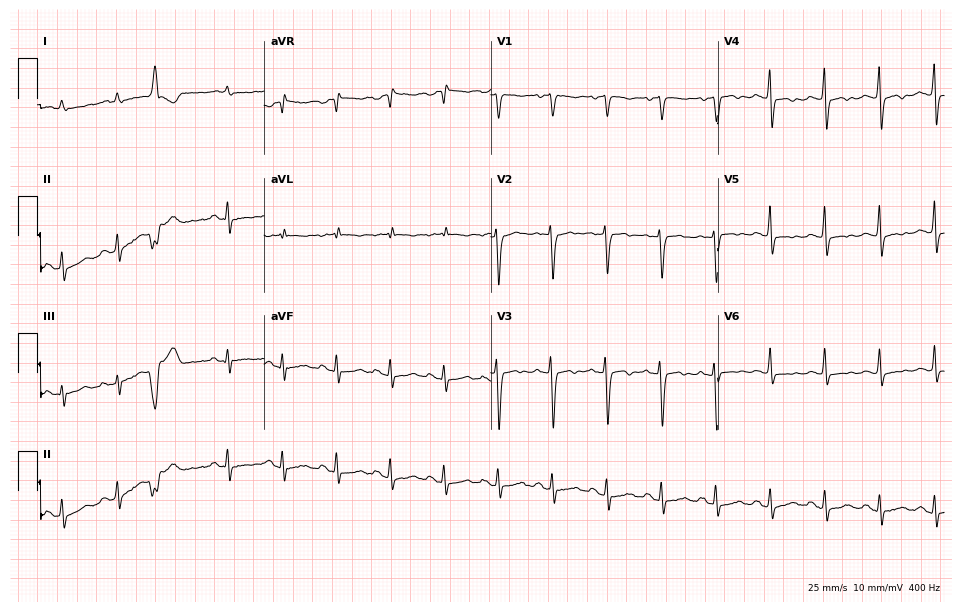
12-lead ECG (9.2-second recording at 400 Hz) from a 75-year-old female. Screened for six findings — first-degree AV block, right bundle branch block (RBBB), left bundle branch block (LBBB), sinus bradycardia, atrial fibrillation (AF), sinus tachycardia — none is recorded. Only these six findings were labelled.